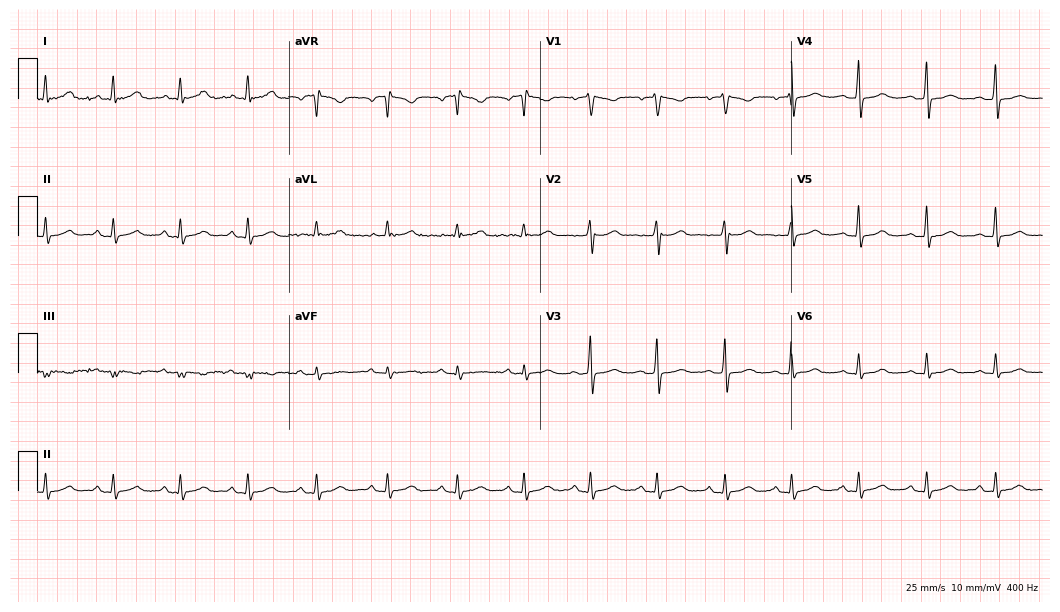
12-lead ECG from a 32-year-old woman. No first-degree AV block, right bundle branch block, left bundle branch block, sinus bradycardia, atrial fibrillation or sinus tachycardia recorded for this tracing. Findings outside these six are not listed.